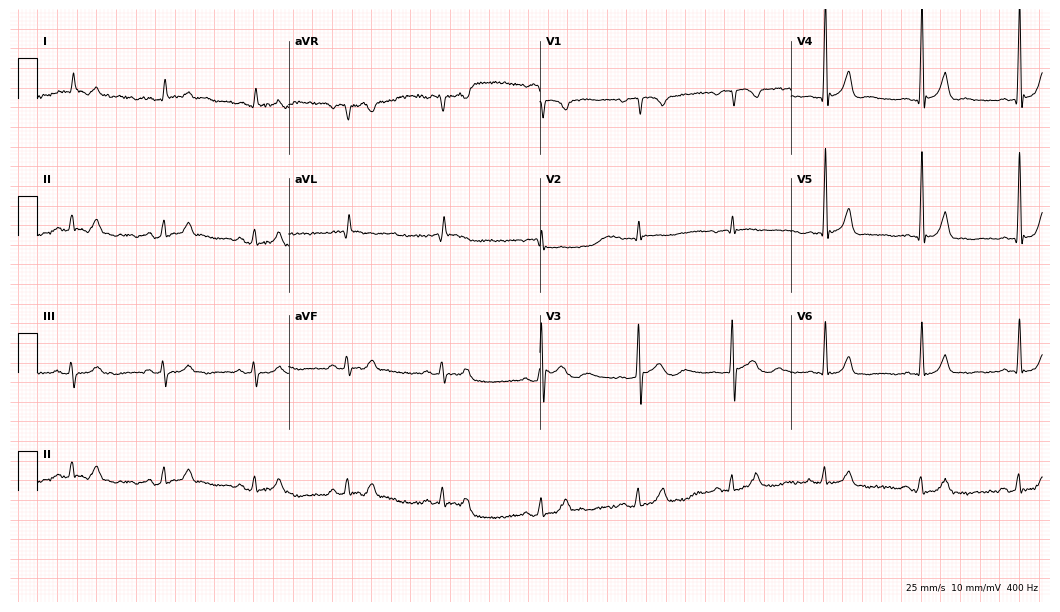
12-lead ECG from a 79-year-old man. Labelled as a normal ECG.